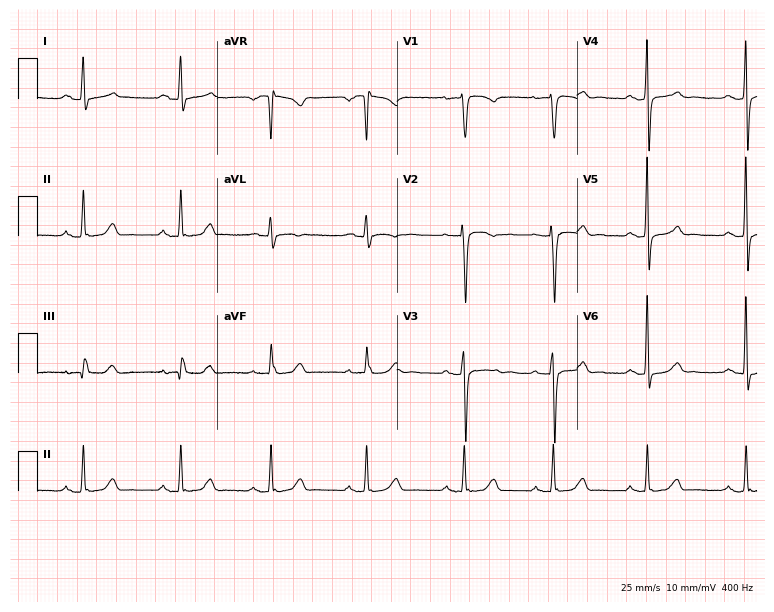
ECG — a 55-year-old male. Screened for six findings — first-degree AV block, right bundle branch block, left bundle branch block, sinus bradycardia, atrial fibrillation, sinus tachycardia — none is recorded. Only these six findings were labelled.